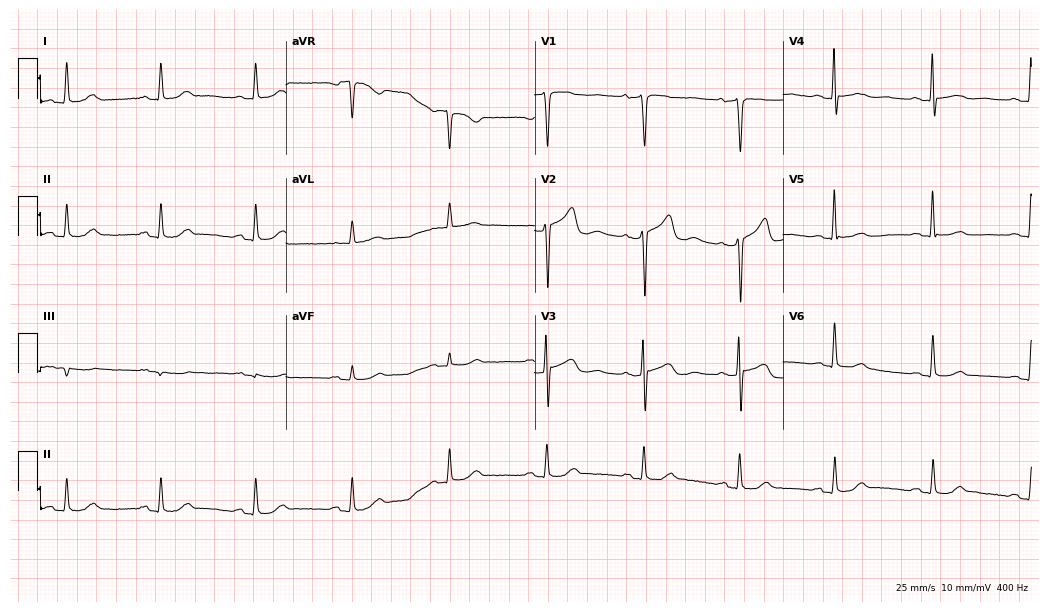
Standard 12-lead ECG recorded from a 77-year-old female patient (10.1-second recording at 400 Hz). Read as a normal ECG.